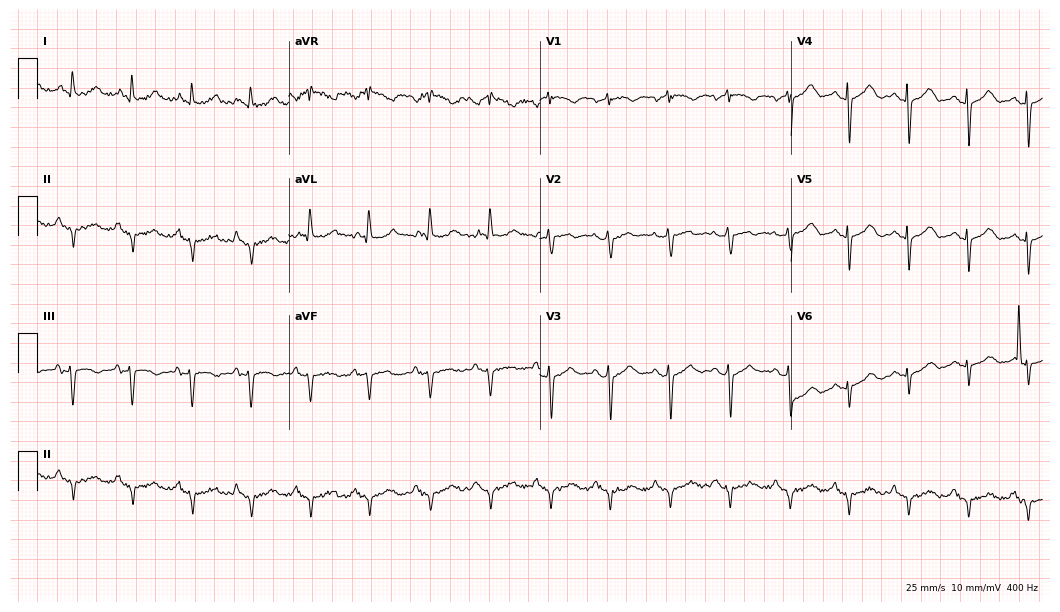
Electrocardiogram, an 82-year-old female. Of the six screened findings (first-degree AV block, right bundle branch block, left bundle branch block, sinus bradycardia, atrial fibrillation, sinus tachycardia), none is recorded.